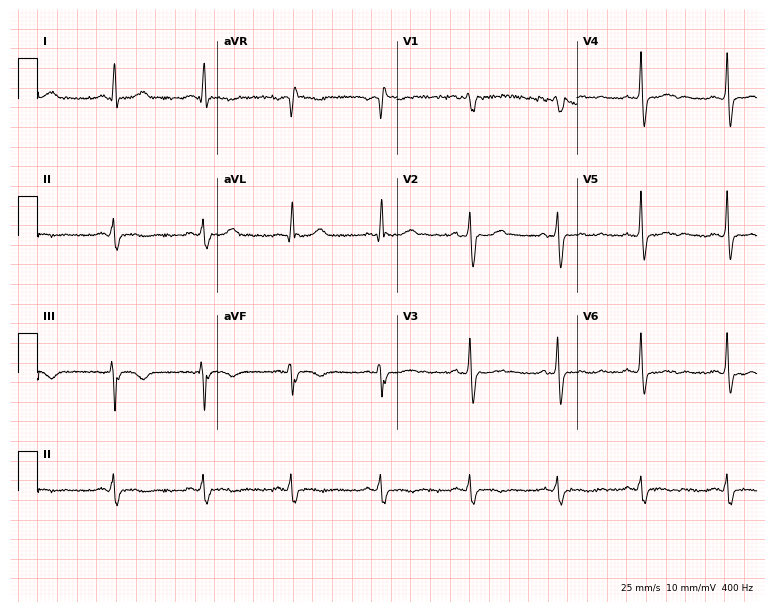
Electrocardiogram (7.3-second recording at 400 Hz), a 47-year-old man. Interpretation includes left bundle branch block (LBBB).